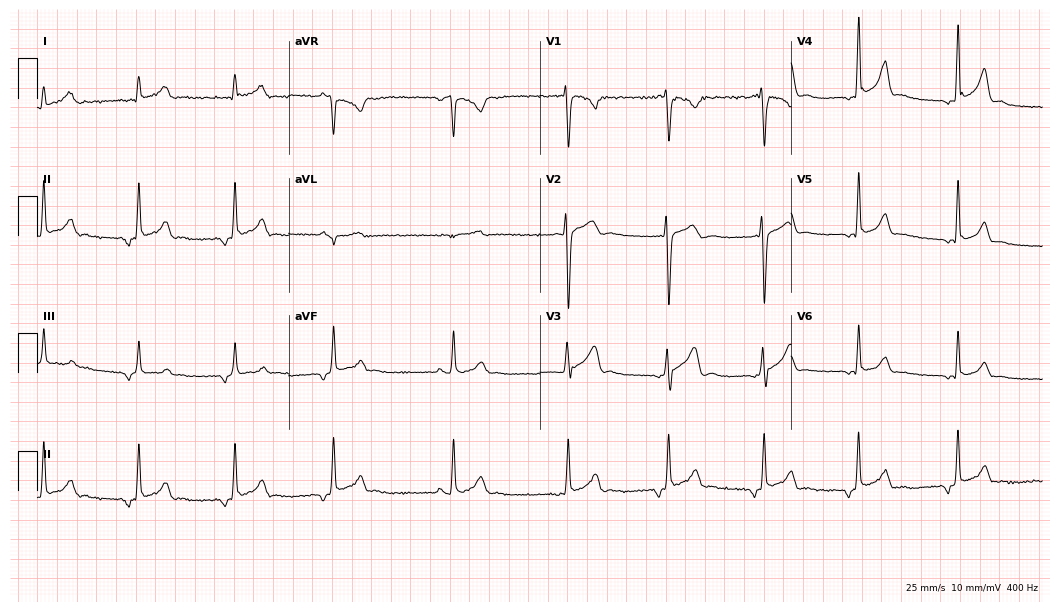
ECG (10.2-second recording at 400 Hz) — a 20-year-old man. Screened for six findings — first-degree AV block, right bundle branch block (RBBB), left bundle branch block (LBBB), sinus bradycardia, atrial fibrillation (AF), sinus tachycardia — none is recorded.